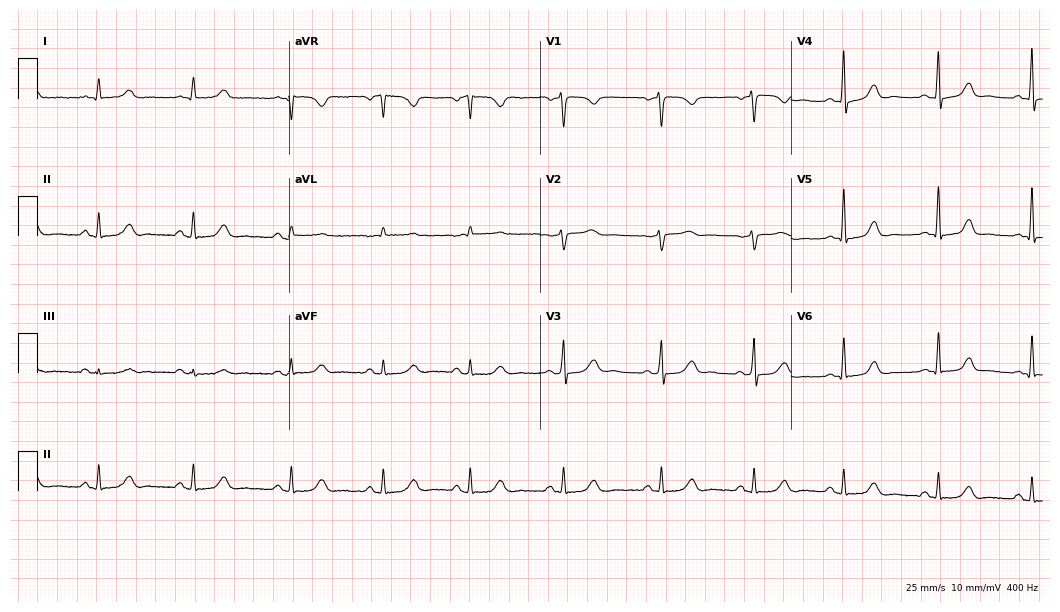
Standard 12-lead ECG recorded from a 37-year-old female. Read as a normal ECG.